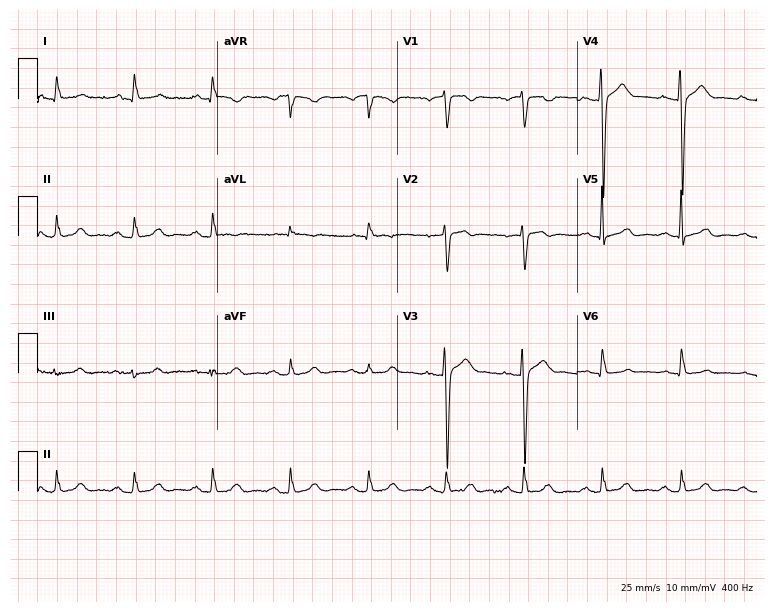
Standard 12-lead ECG recorded from a man, 64 years old. None of these six findings is recorded: first-degree AV block, right bundle branch block, left bundle branch block, sinus bradycardia, atrial fibrillation, sinus tachycardia. Other findings, if any, are not listed.